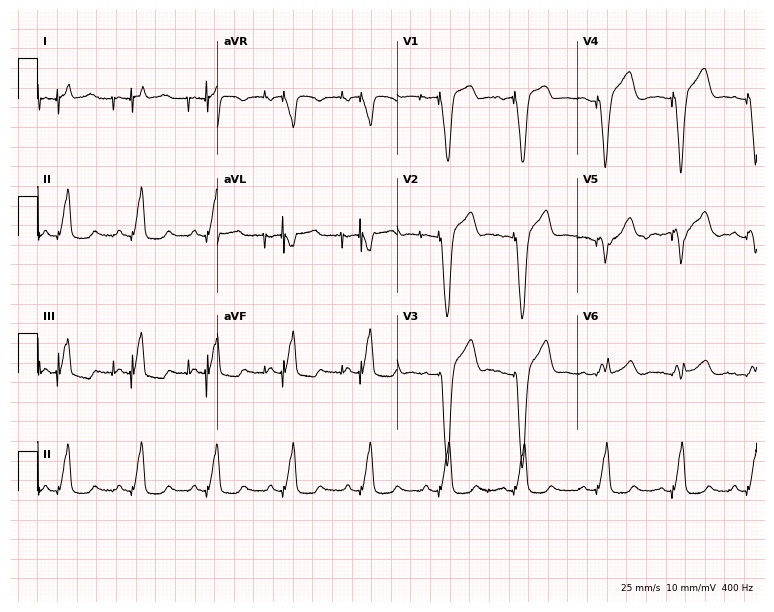
ECG — a male, 52 years old. Screened for six findings — first-degree AV block, right bundle branch block, left bundle branch block, sinus bradycardia, atrial fibrillation, sinus tachycardia — none is recorded.